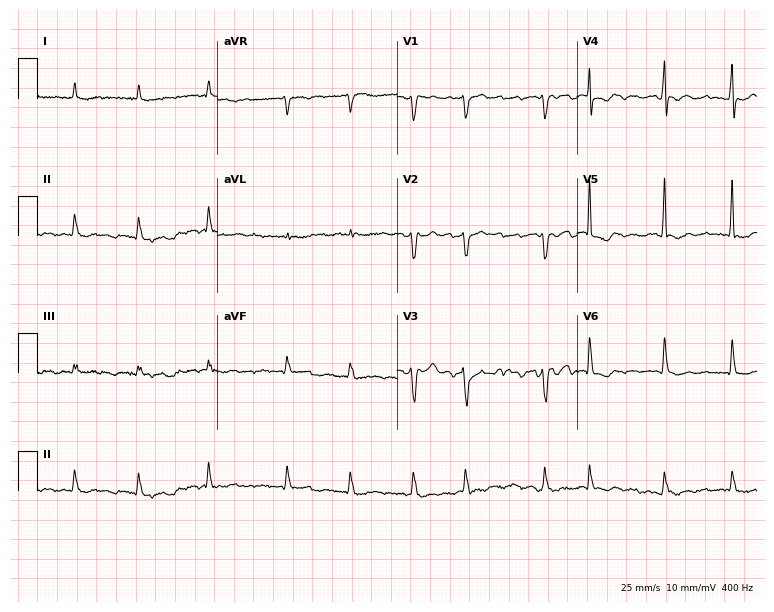
ECG — a female patient, 72 years old. Findings include atrial fibrillation.